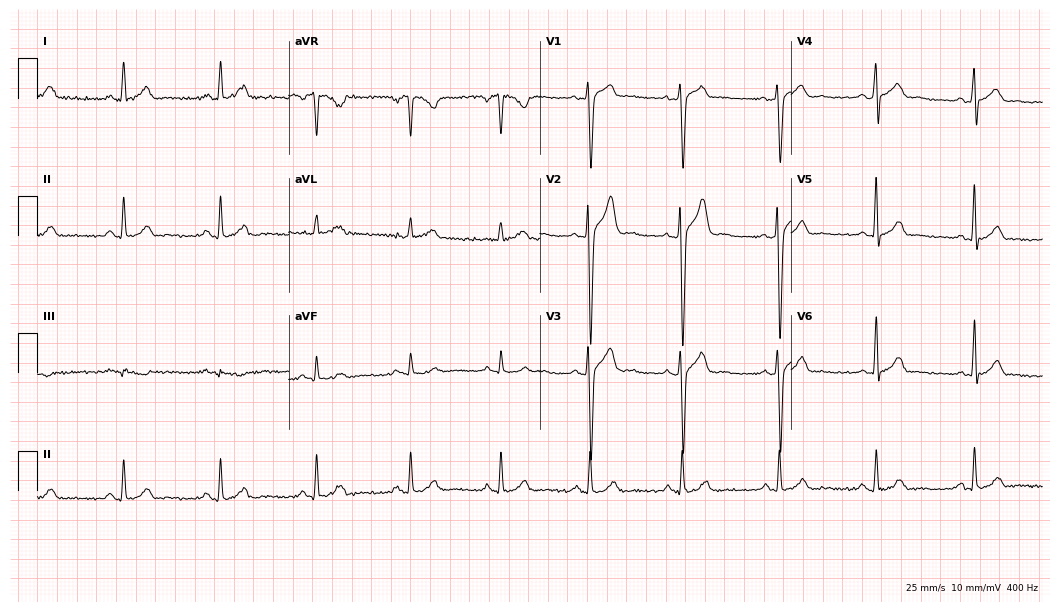
Electrocardiogram (10.2-second recording at 400 Hz), a 34-year-old man. Overall reading on record: normal ECG.